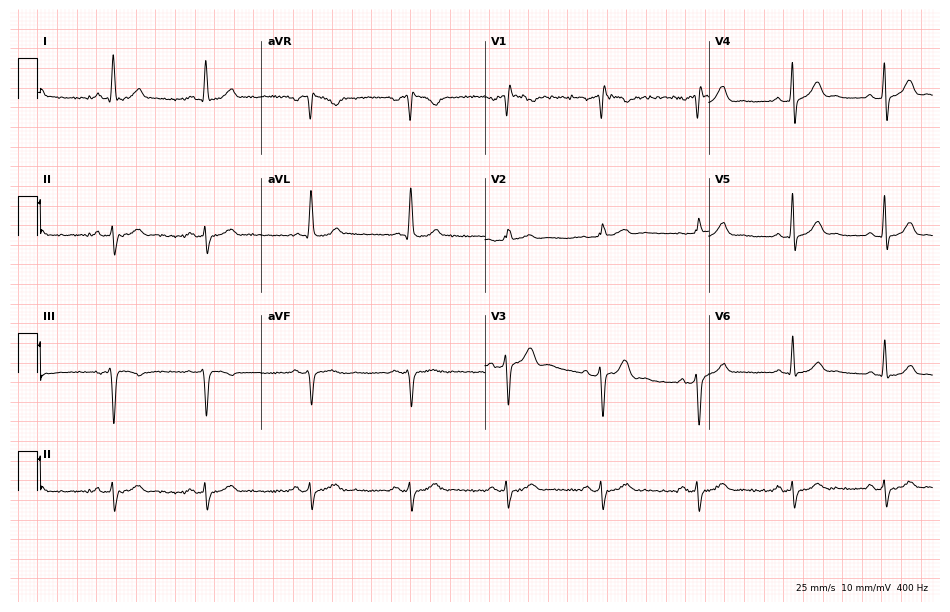
12-lead ECG from a 58-year-old male patient. Screened for six findings — first-degree AV block, right bundle branch block, left bundle branch block, sinus bradycardia, atrial fibrillation, sinus tachycardia — none is recorded.